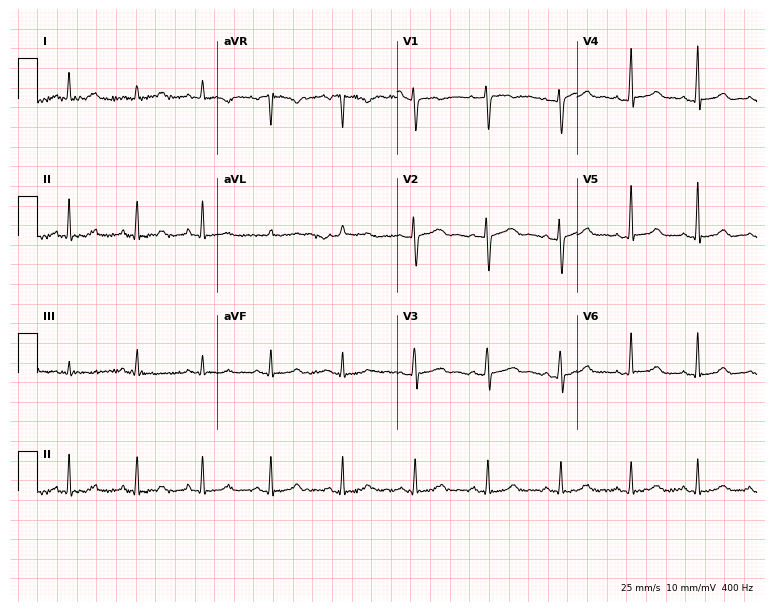
12-lead ECG from a 44-year-old female patient. Recorded interpretation: within normal limits.